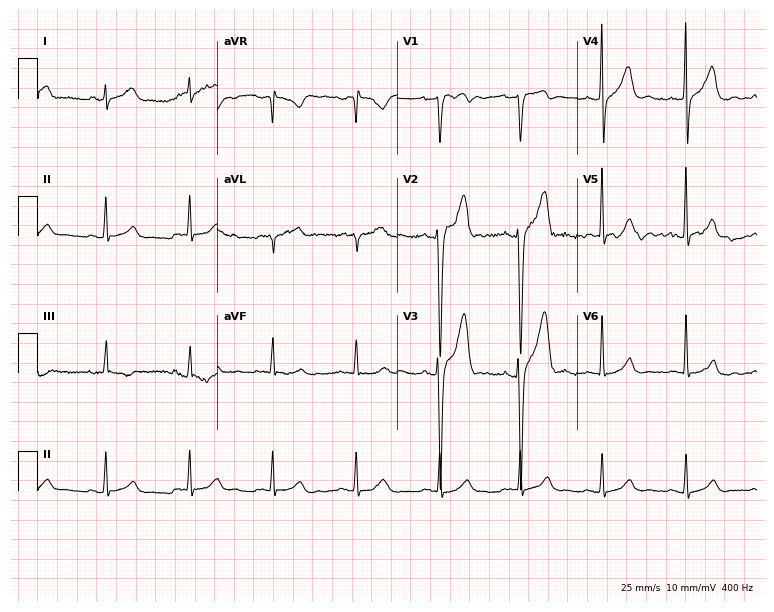
12-lead ECG (7.3-second recording at 400 Hz) from a man, 36 years old. Screened for six findings — first-degree AV block, right bundle branch block, left bundle branch block, sinus bradycardia, atrial fibrillation, sinus tachycardia — none is recorded. Findings outside these six are not listed.